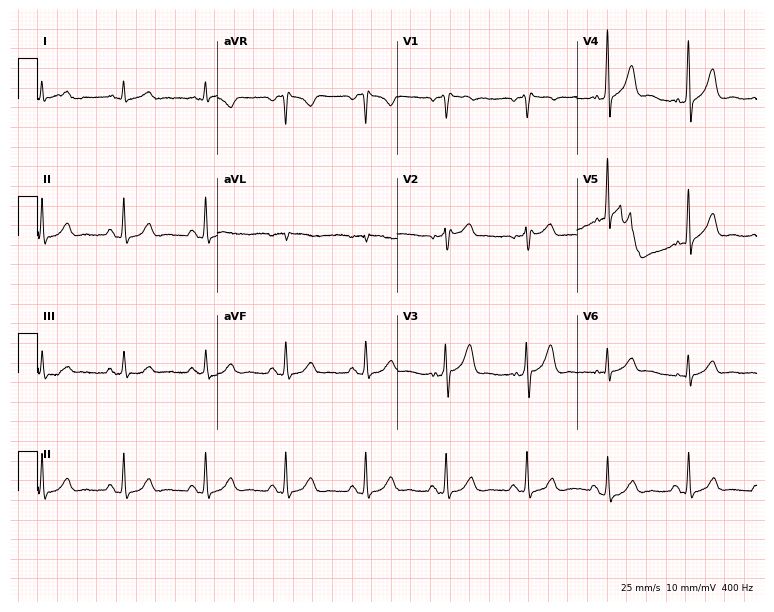
ECG — a 60-year-old male. Labelled as a normal ECG.